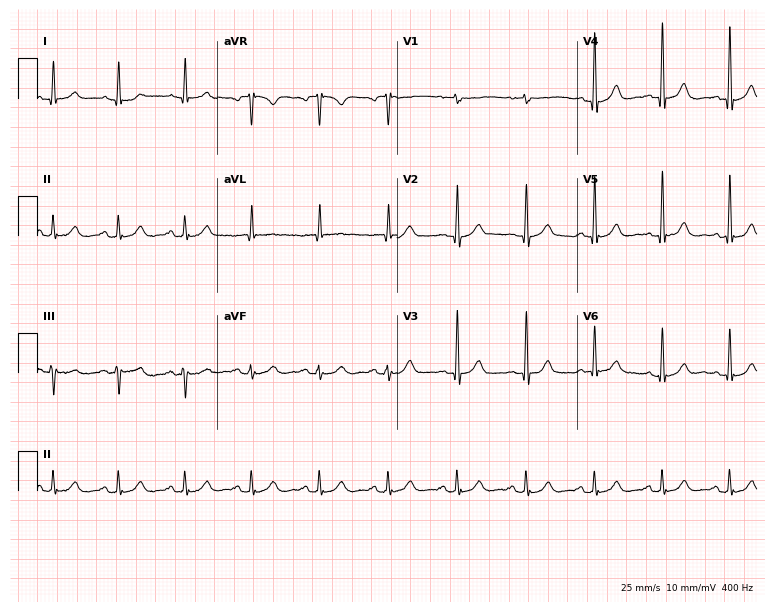
Electrocardiogram (7.3-second recording at 400 Hz), a male patient, 76 years old. Of the six screened findings (first-degree AV block, right bundle branch block, left bundle branch block, sinus bradycardia, atrial fibrillation, sinus tachycardia), none is recorded. Other findings, if any, are not listed.